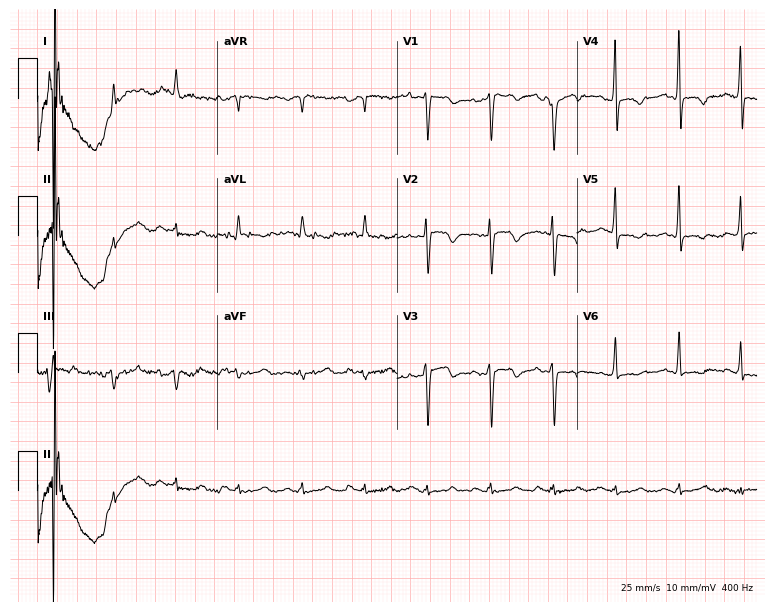
Standard 12-lead ECG recorded from a female, 85 years old (7.3-second recording at 400 Hz). Read as a normal ECG.